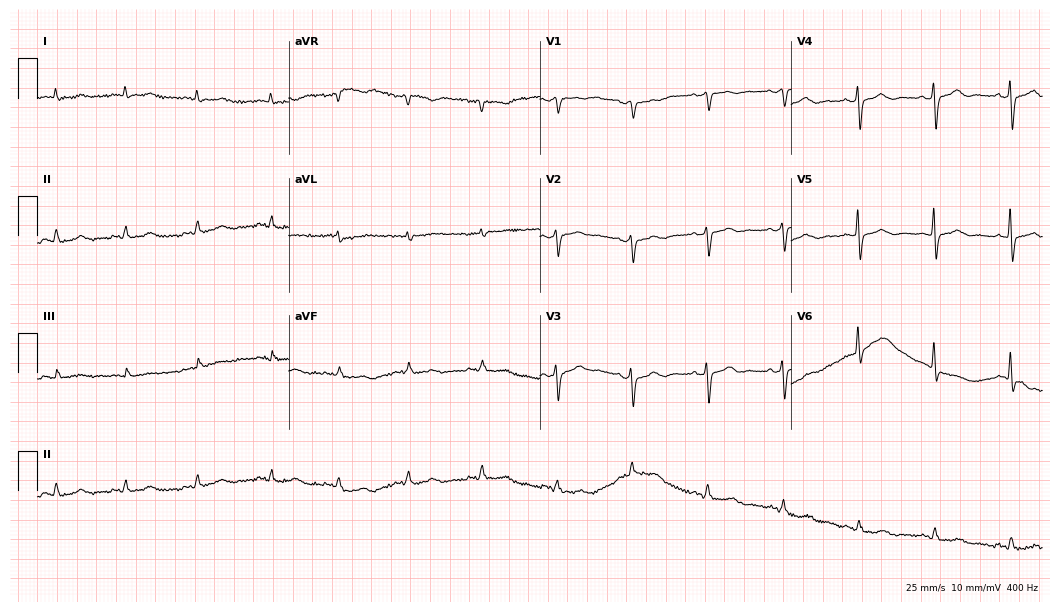
12-lead ECG from an 83-year-old woman (10.2-second recording at 400 Hz). Recorded interpretation: within normal limits.